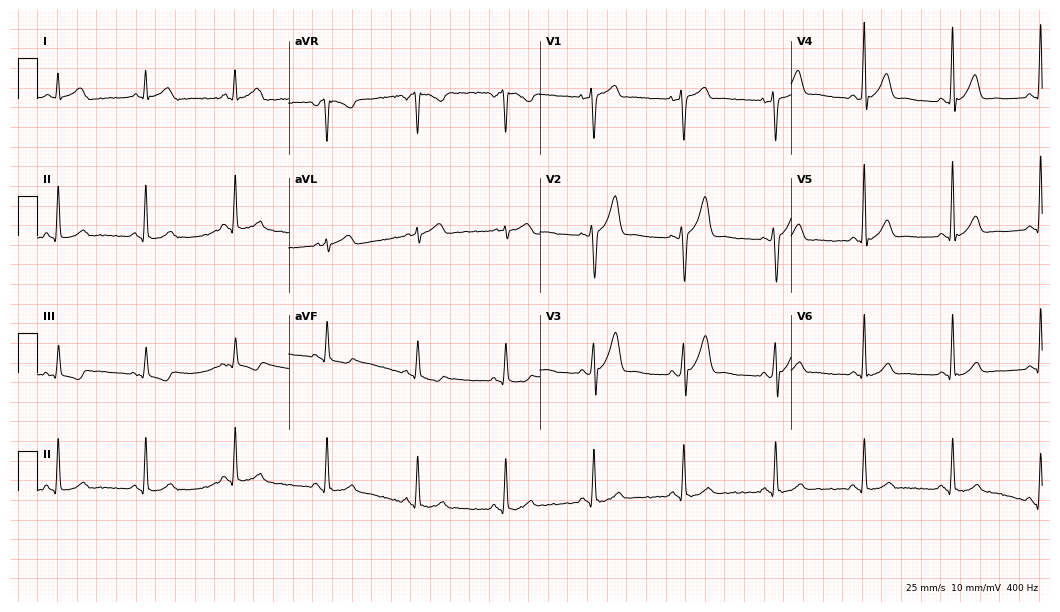
Resting 12-lead electrocardiogram. Patient: a 52-year-old male. Read as a normal ECG.